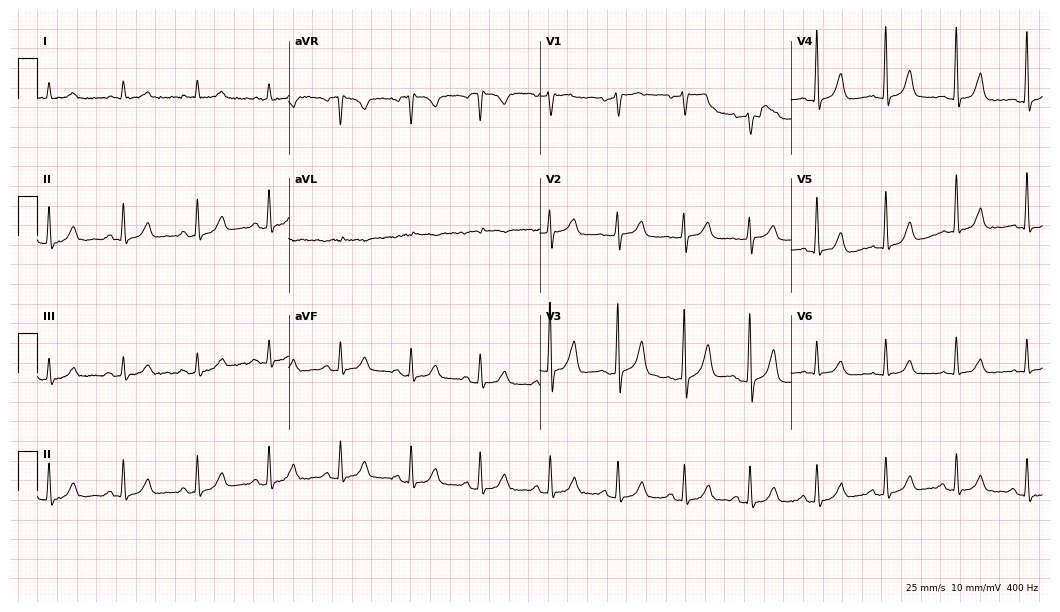
Standard 12-lead ECG recorded from a male, 68 years old. Read as a normal ECG.